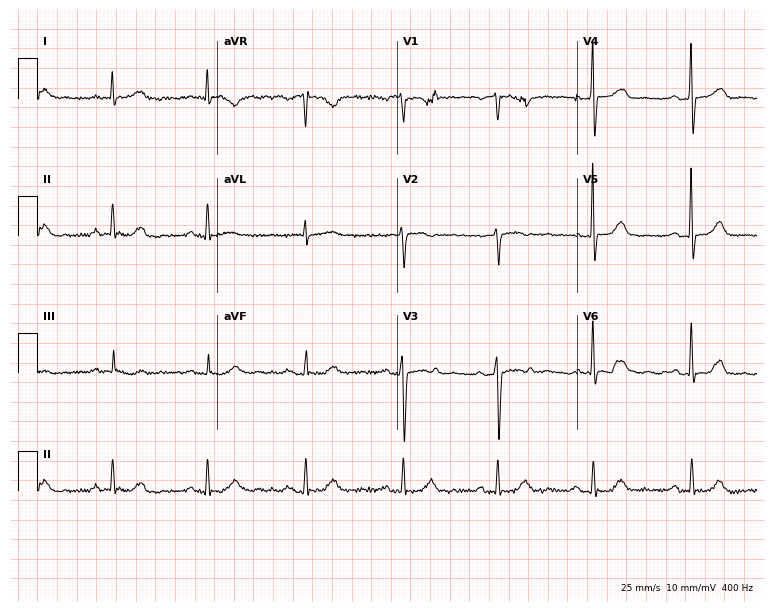
Standard 12-lead ECG recorded from a 74-year-old female (7.3-second recording at 400 Hz). None of these six findings is recorded: first-degree AV block, right bundle branch block, left bundle branch block, sinus bradycardia, atrial fibrillation, sinus tachycardia.